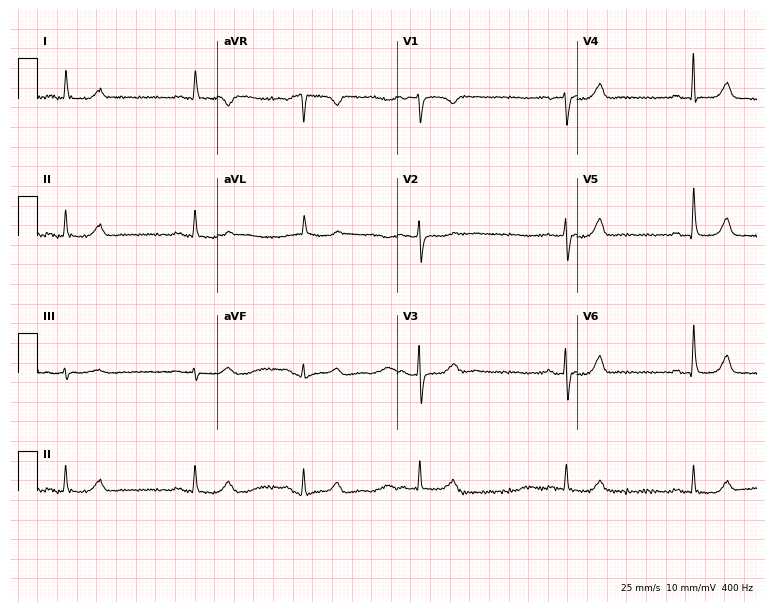
12-lead ECG from a woman, 84 years old (7.3-second recording at 400 Hz). No first-degree AV block, right bundle branch block, left bundle branch block, sinus bradycardia, atrial fibrillation or sinus tachycardia recorded for this tracing.